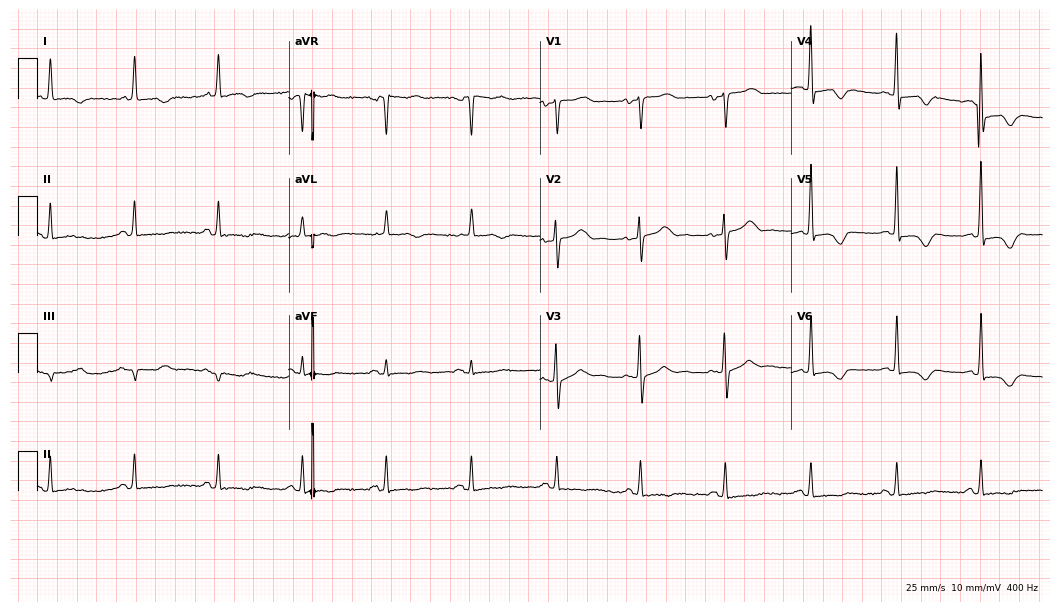
Electrocardiogram (10.2-second recording at 400 Hz), a woman, 78 years old. Of the six screened findings (first-degree AV block, right bundle branch block, left bundle branch block, sinus bradycardia, atrial fibrillation, sinus tachycardia), none is recorded.